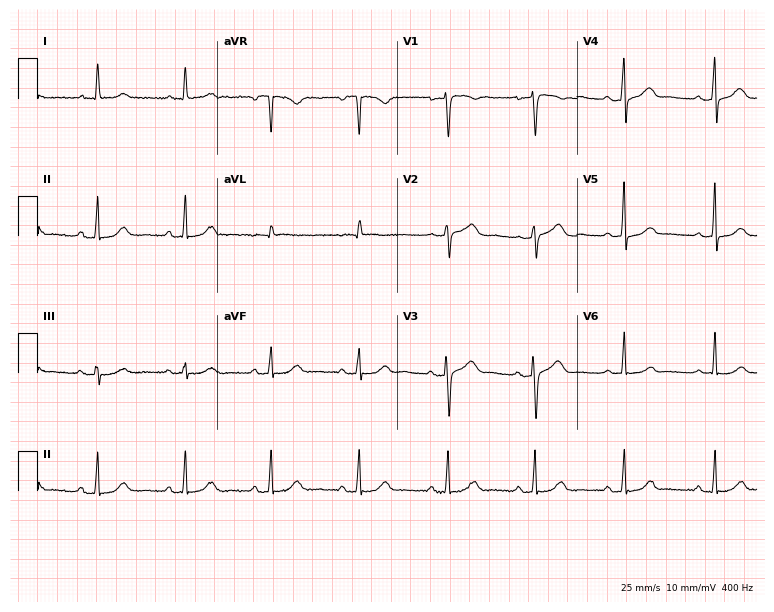
ECG (7.3-second recording at 400 Hz) — a 53-year-old female patient. Labelled as a normal ECG.